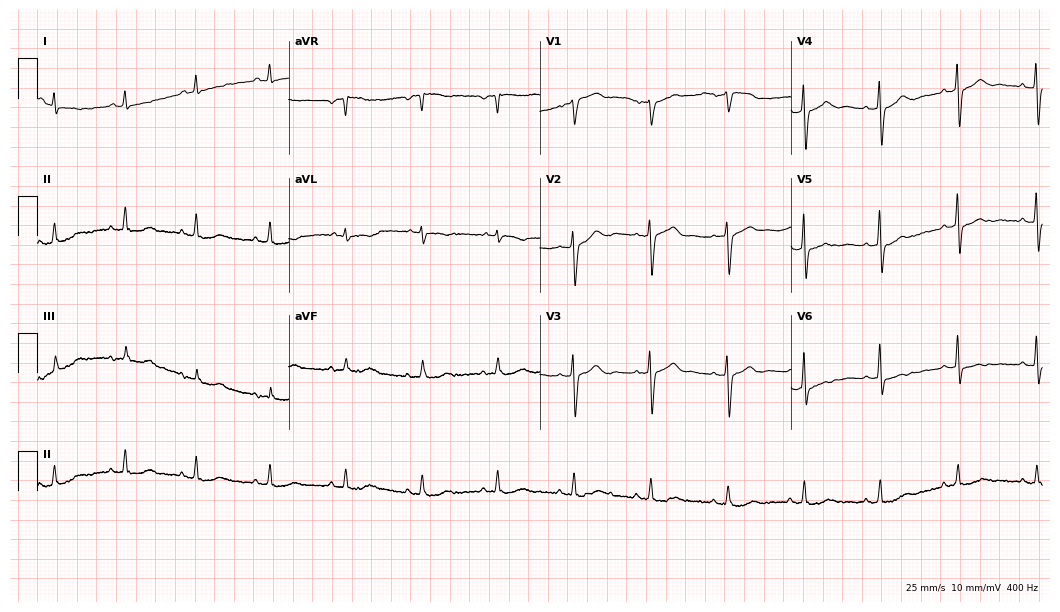
Resting 12-lead electrocardiogram (10.2-second recording at 400 Hz). Patient: a female, 65 years old. Read as a normal ECG.